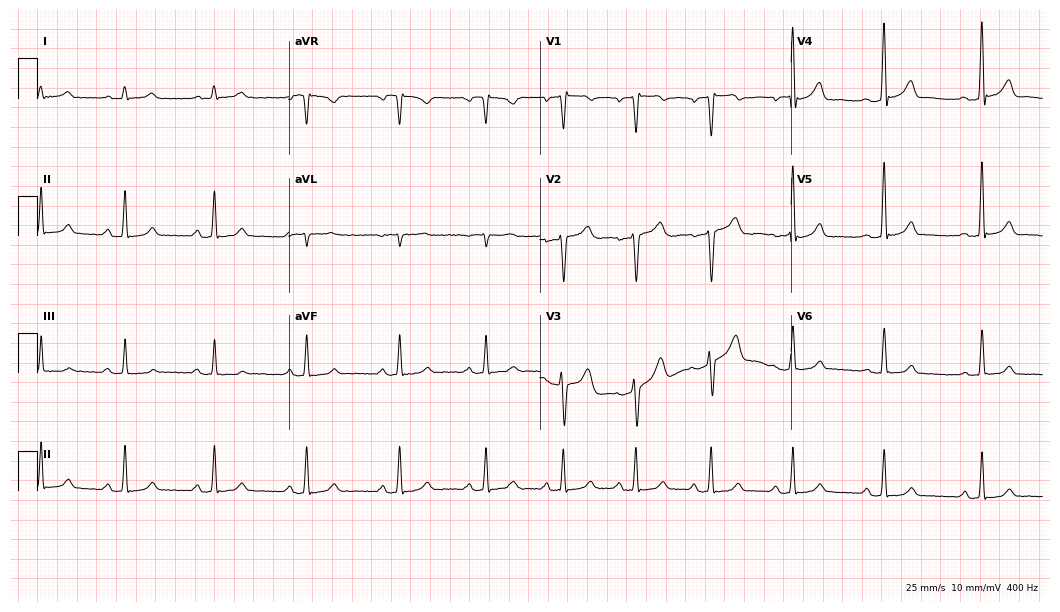
Standard 12-lead ECG recorded from a 41-year-old male (10.2-second recording at 400 Hz). None of these six findings is recorded: first-degree AV block, right bundle branch block (RBBB), left bundle branch block (LBBB), sinus bradycardia, atrial fibrillation (AF), sinus tachycardia.